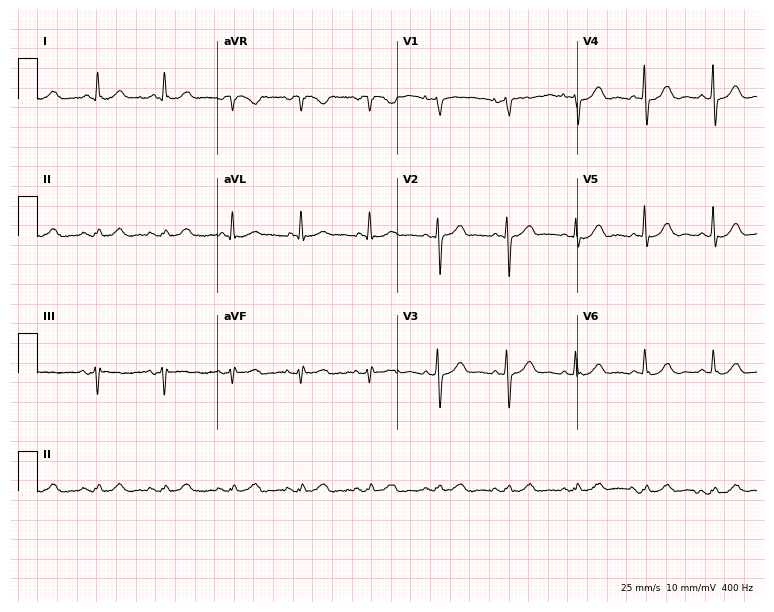
Resting 12-lead electrocardiogram (7.3-second recording at 400 Hz). Patient: a male, 65 years old. Read as a normal ECG.